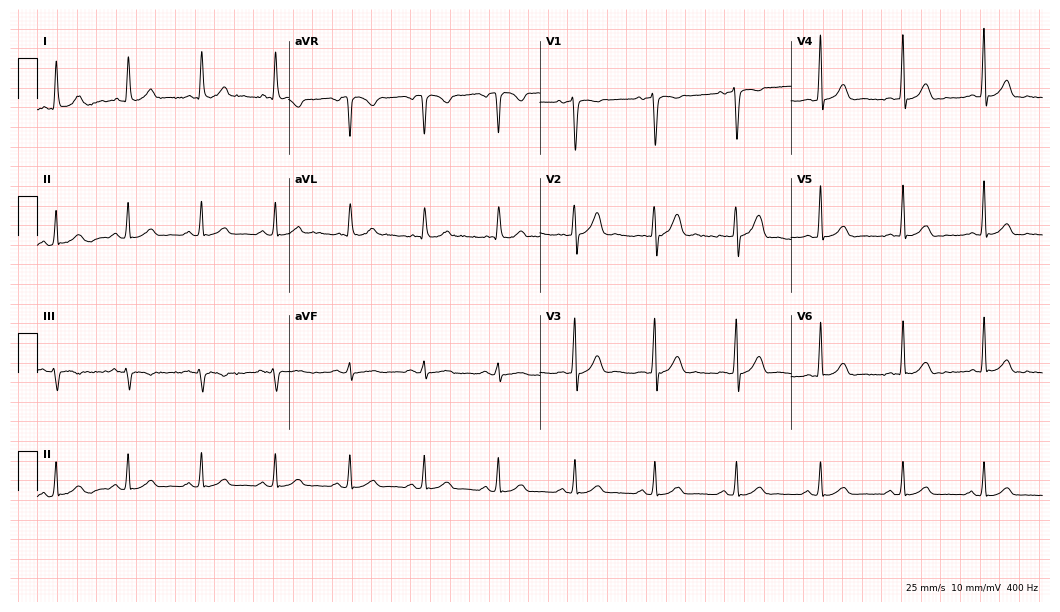
Standard 12-lead ECG recorded from a 45-year-old woman (10.2-second recording at 400 Hz). Read as a normal ECG.